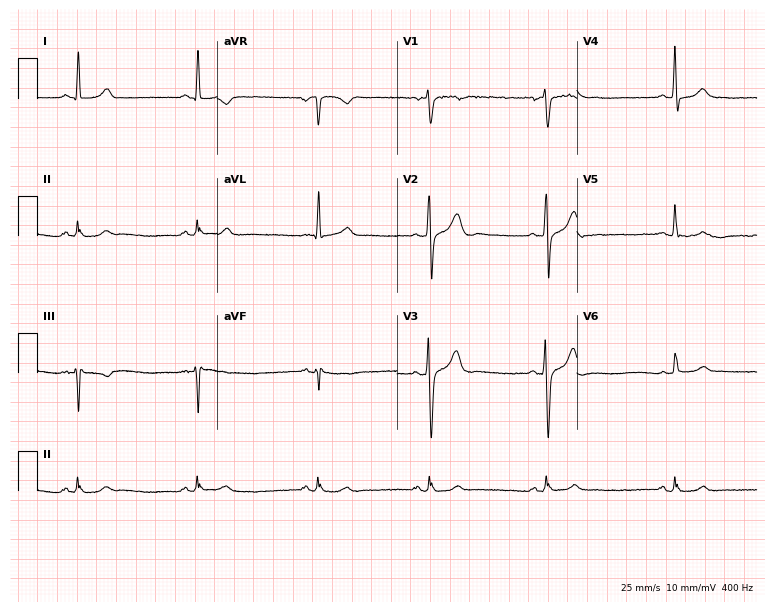
12-lead ECG from a male patient, 46 years old (7.3-second recording at 400 Hz). Shows sinus bradycardia (a sinus rate of 50 beats per minute or less).